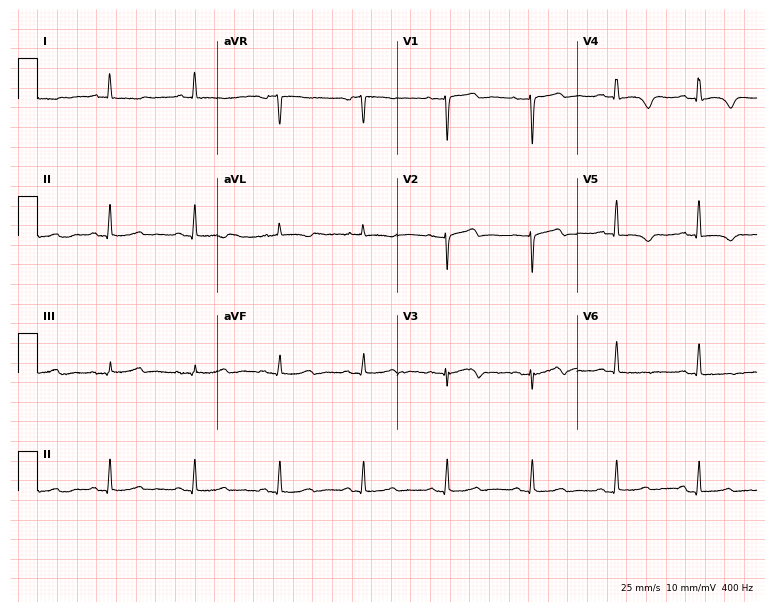
12-lead ECG from a female patient, 75 years old (7.3-second recording at 400 Hz). No first-degree AV block, right bundle branch block, left bundle branch block, sinus bradycardia, atrial fibrillation or sinus tachycardia recorded for this tracing.